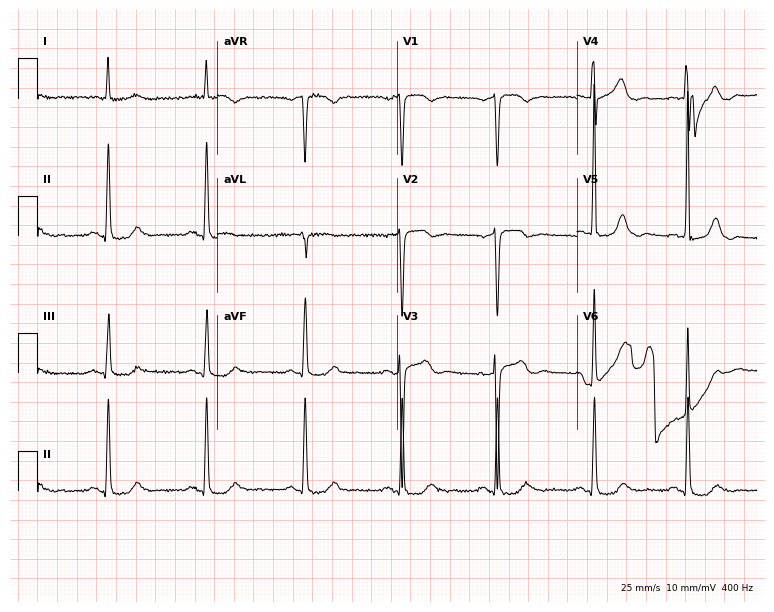
12-lead ECG from a male, 76 years old. No first-degree AV block, right bundle branch block, left bundle branch block, sinus bradycardia, atrial fibrillation or sinus tachycardia recorded for this tracing. Only these six findings were labelled.